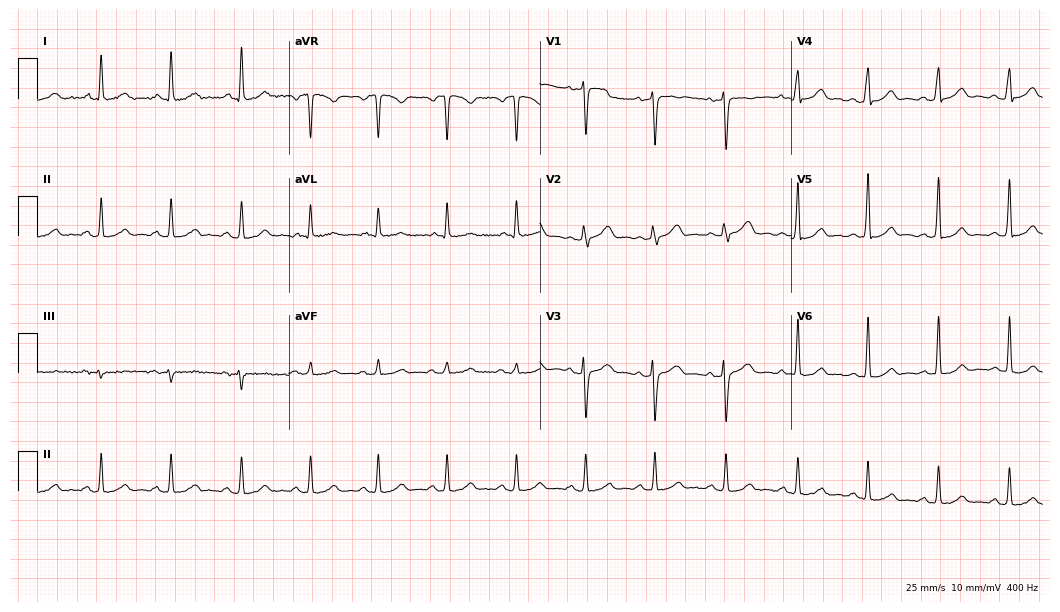
ECG — a 40-year-old female patient. Screened for six findings — first-degree AV block, right bundle branch block, left bundle branch block, sinus bradycardia, atrial fibrillation, sinus tachycardia — none is recorded. Only these six findings were labelled.